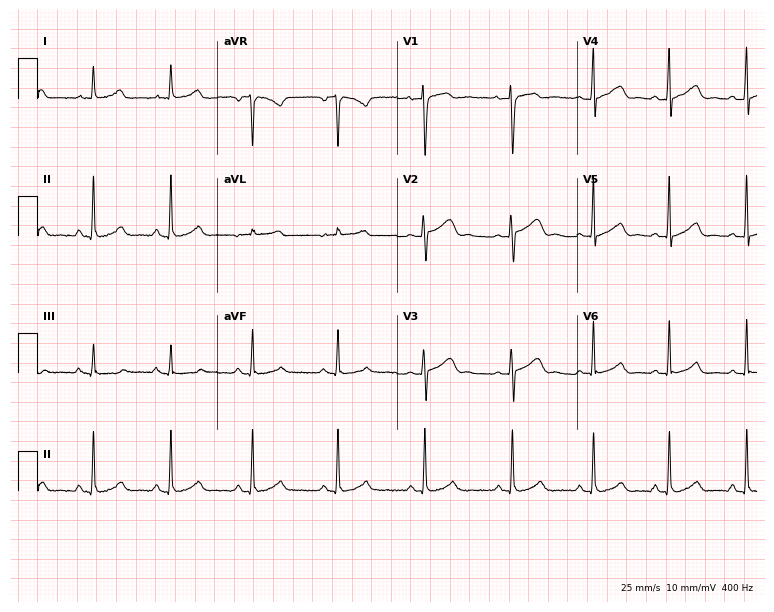
Resting 12-lead electrocardiogram (7.3-second recording at 400 Hz). Patient: a female, 32 years old. None of these six findings is recorded: first-degree AV block, right bundle branch block, left bundle branch block, sinus bradycardia, atrial fibrillation, sinus tachycardia. Findings outside these six are not listed.